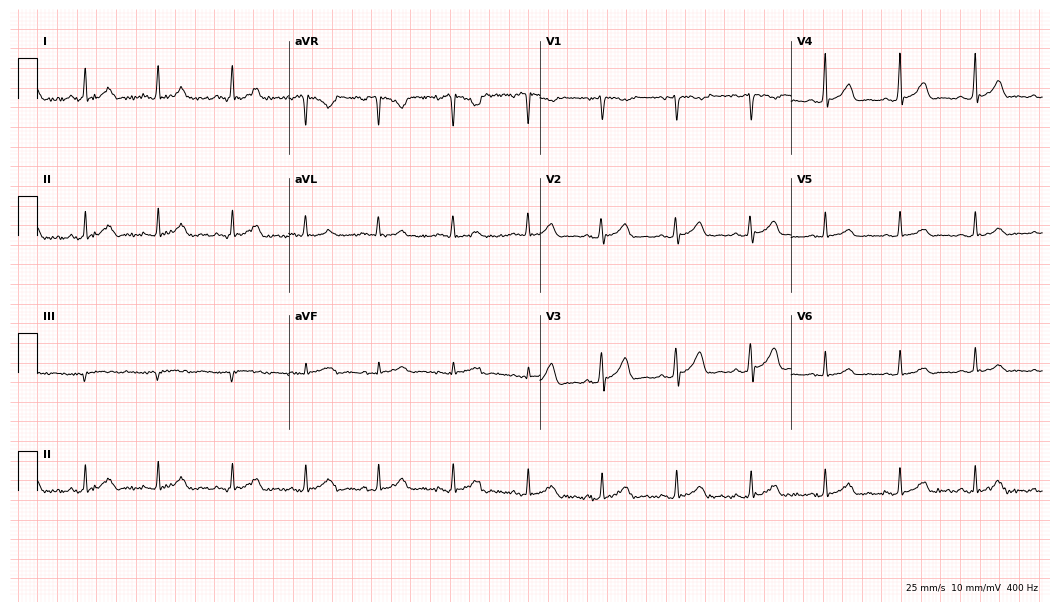
Electrocardiogram (10.2-second recording at 400 Hz), a female, 29 years old. Overall reading on record: normal ECG.